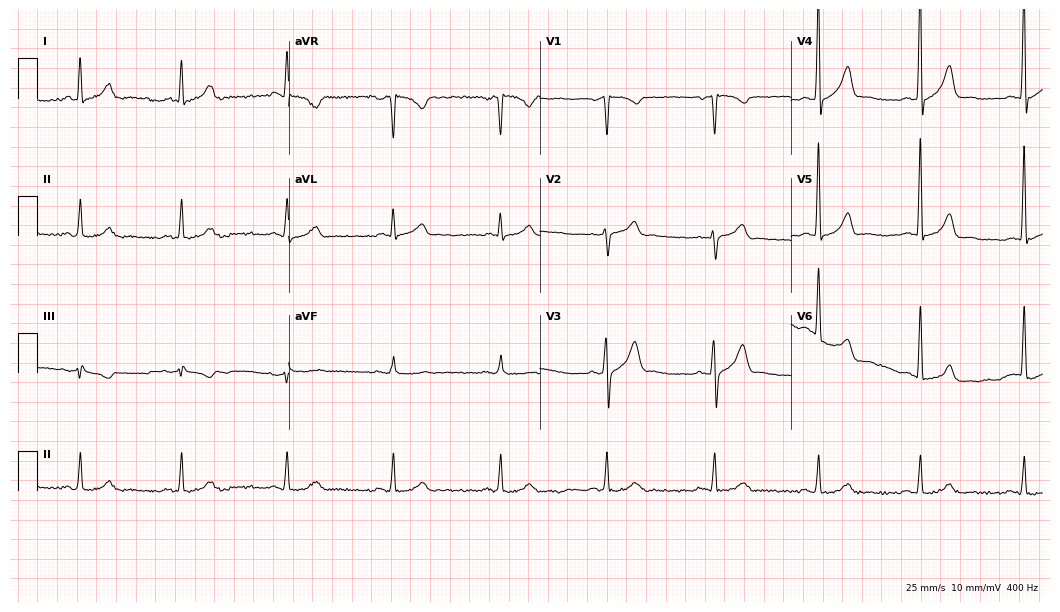
Standard 12-lead ECG recorded from a male, 58 years old. Read as a normal ECG.